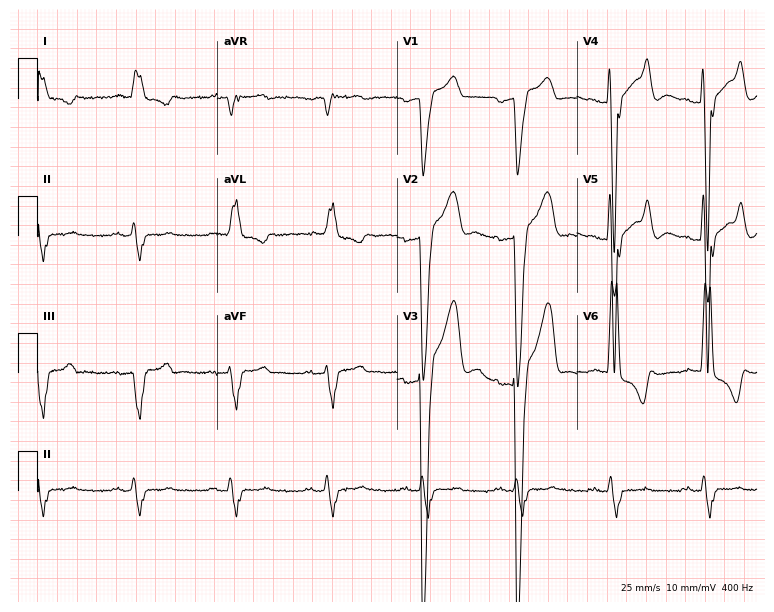
Standard 12-lead ECG recorded from an 83-year-old man (7.3-second recording at 400 Hz). None of these six findings is recorded: first-degree AV block, right bundle branch block (RBBB), left bundle branch block (LBBB), sinus bradycardia, atrial fibrillation (AF), sinus tachycardia.